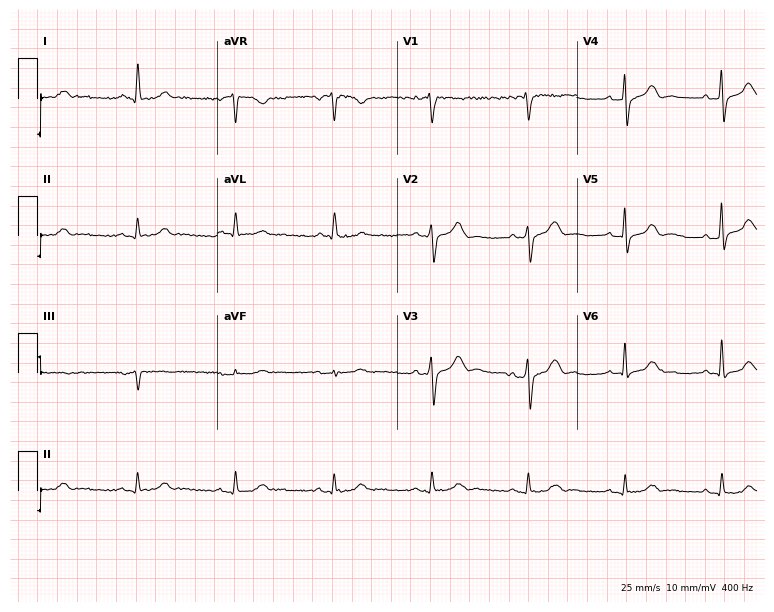
Electrocardiogram, a 60-year-old male. Overall reading on record: normal ECG.